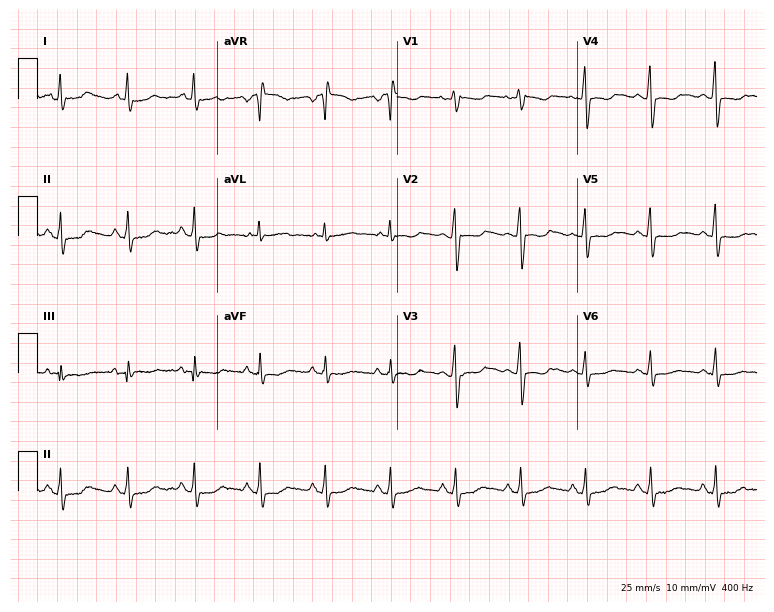
ECG (7.3-second recording at 400 Hz) — a 66-year-old female. Screened for six findings — first-degree AV block, right bundle branch block, left bundle branch block, sinus bradycardia, atrial fibrillation, sinus tachycardia — none is recorded.